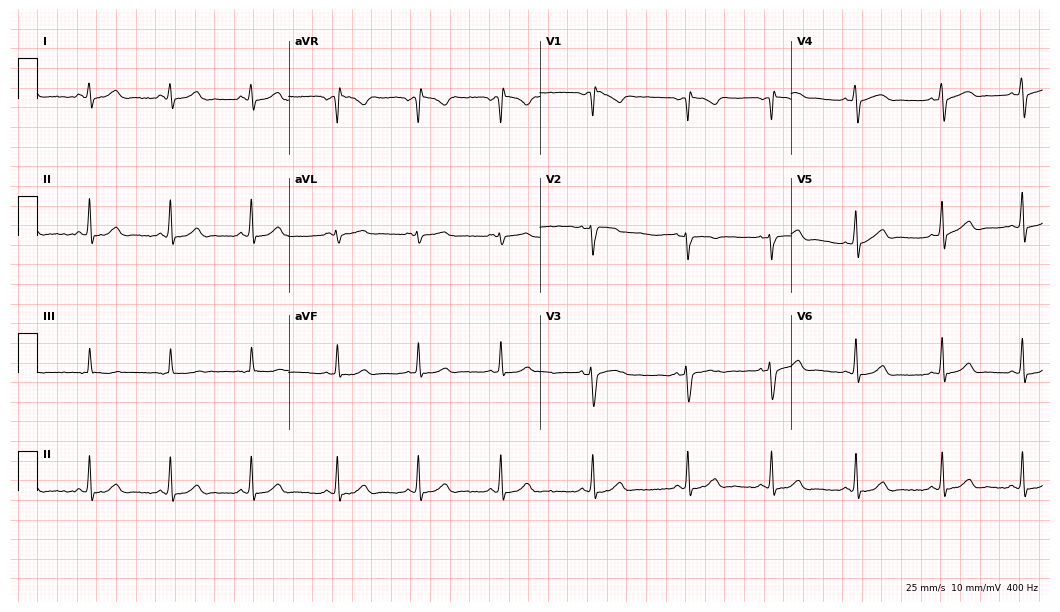
Standard 12-lead ECG recorded from a female patient, 21 years old. Read as a normal ECG.